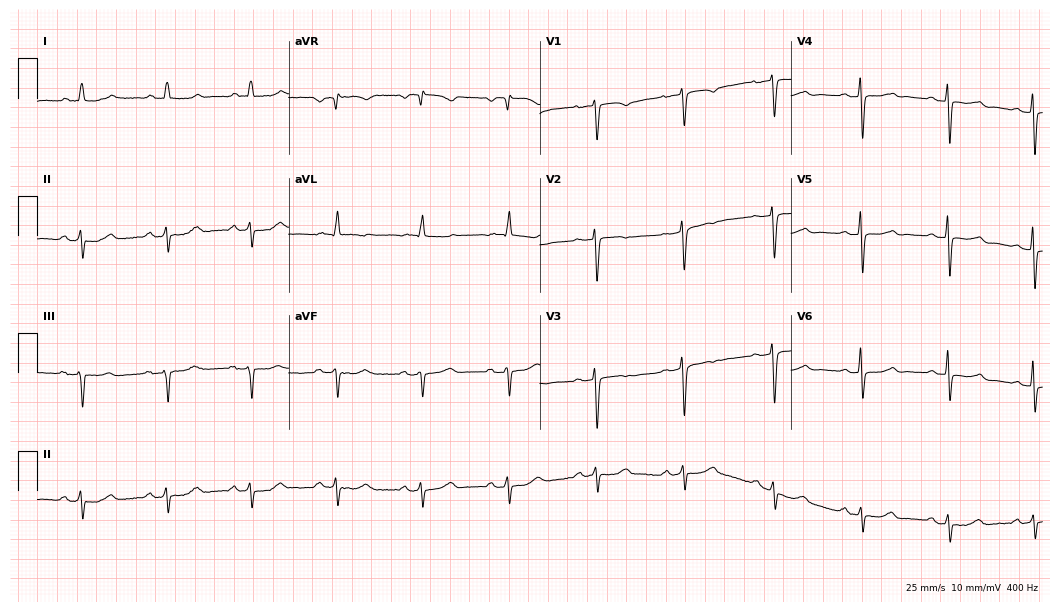
Resting 12-lead electrocardiogram (10.2-second recording at 400 Hz). Patient: an 81-year-old female. None of these six findings is recorded: first-degree AV block, right bundle branch block, left bundle branch block, sinus bradycardia, atrial fibrillation, sinus tachycardia. Only these six findings were labelled.